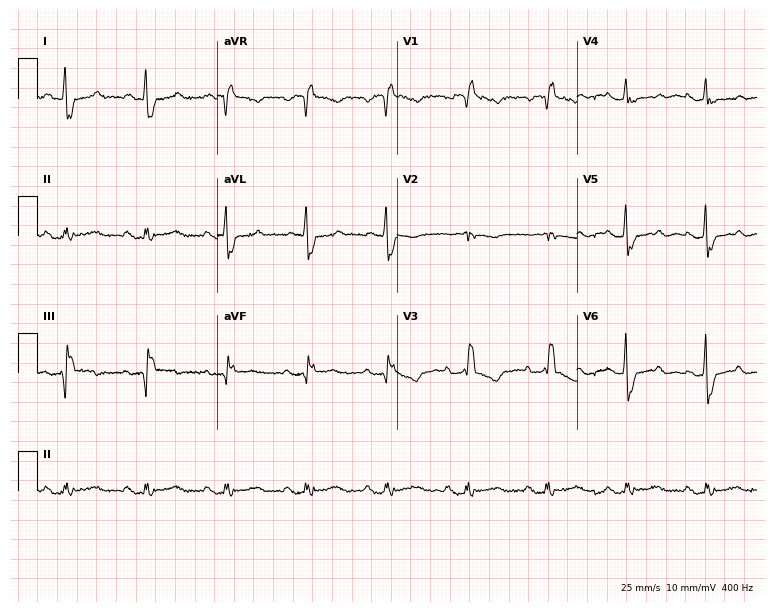
Electrocardiogram (7.3-second recording at 400 Hz), a woman, 64 years old. Interpretation includes right bundle branch block.